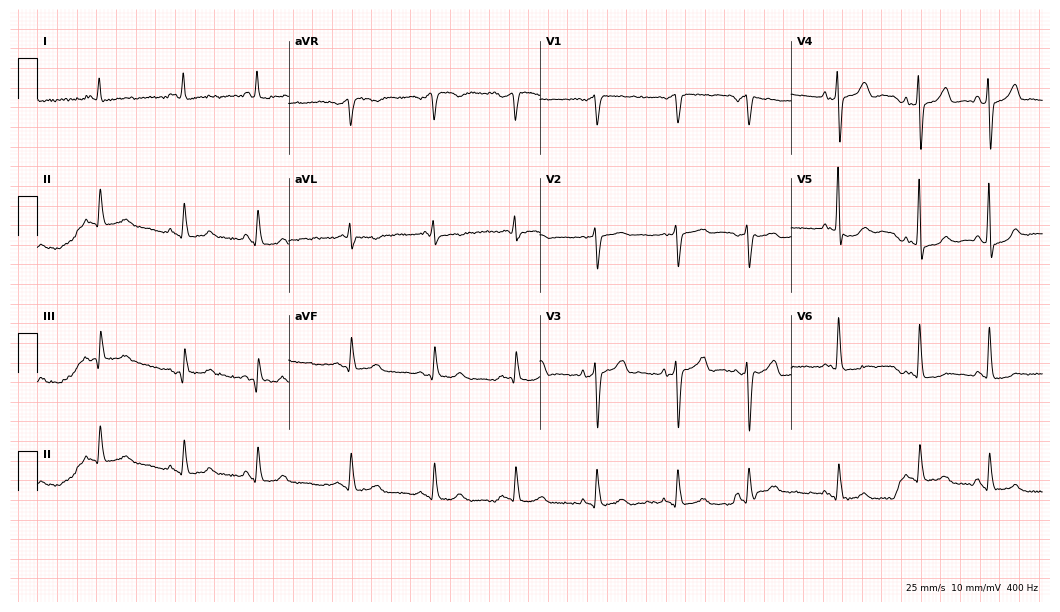
ECG (10.2-second recording at 400 Hz) — a male, 68 years old. Screened for six findings — first-degree AV block, right bundle branch block, left bundle branch block, sinus bradycardia, atrial fibrillation, sinus tachycardia — none is recorded.